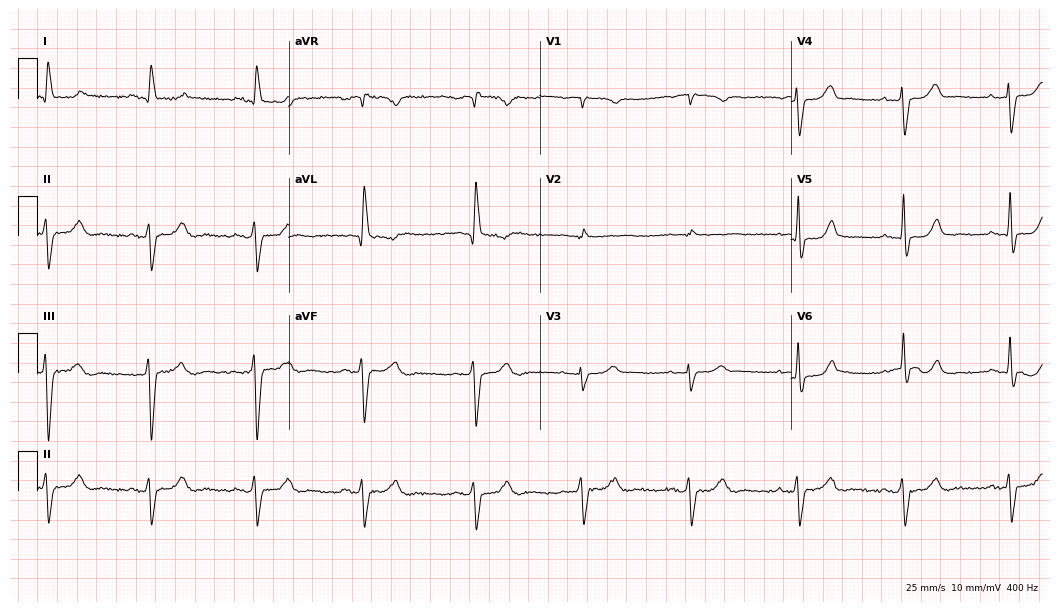
ECG — a female patient, 80 years old. Screened for six findings — first-degree AV block, right bundle branch block (RBBB), left bundle branch block (LBBB), sinus bradycardia, atrial fibrillation (AF), sinus tachycardia — none is recorded.